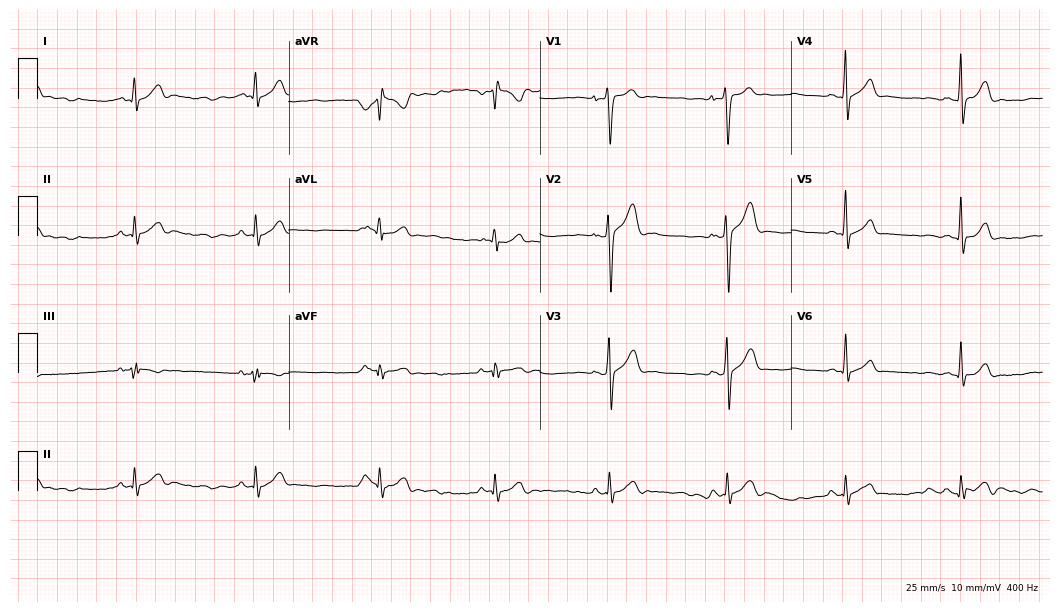
12-lead ECG from a male, 20 years old (10.2-second recording at 400 Hz). Recorded interpretation: within normal limits.